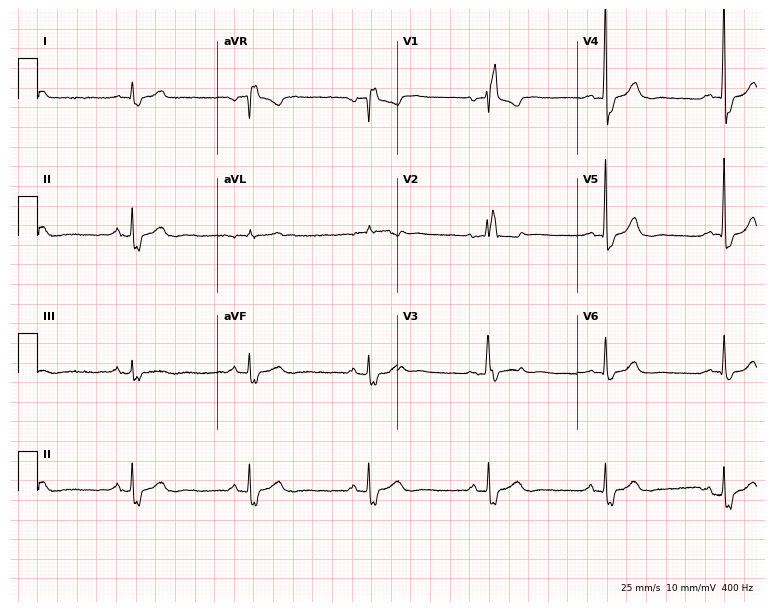
Electrocardiogram, a male patient, 66 years old. Interpretation includes right bundle branch block (RBBB), sinus bradycardia (a sinus rate of 50 beats per minute or less).